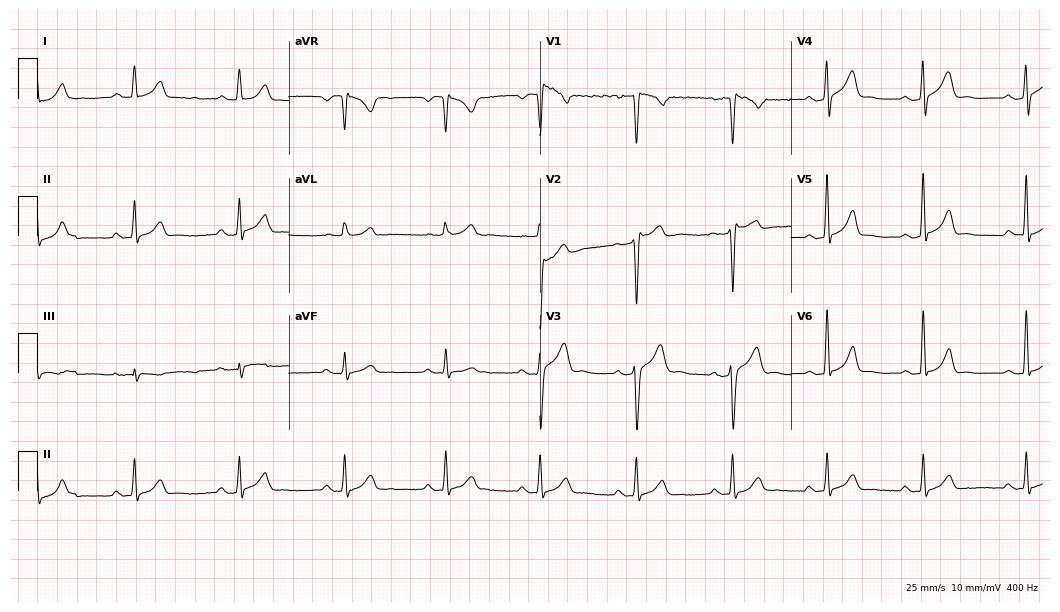
Resting 12-lead electrocardiogram. Patient: a 30-year-old male. None of these six findings is recorded: first-degree AV block, right bundle branch block, left bundle branch block, sinus bradycardia, atrial fibrillation, sinus tachycardia.